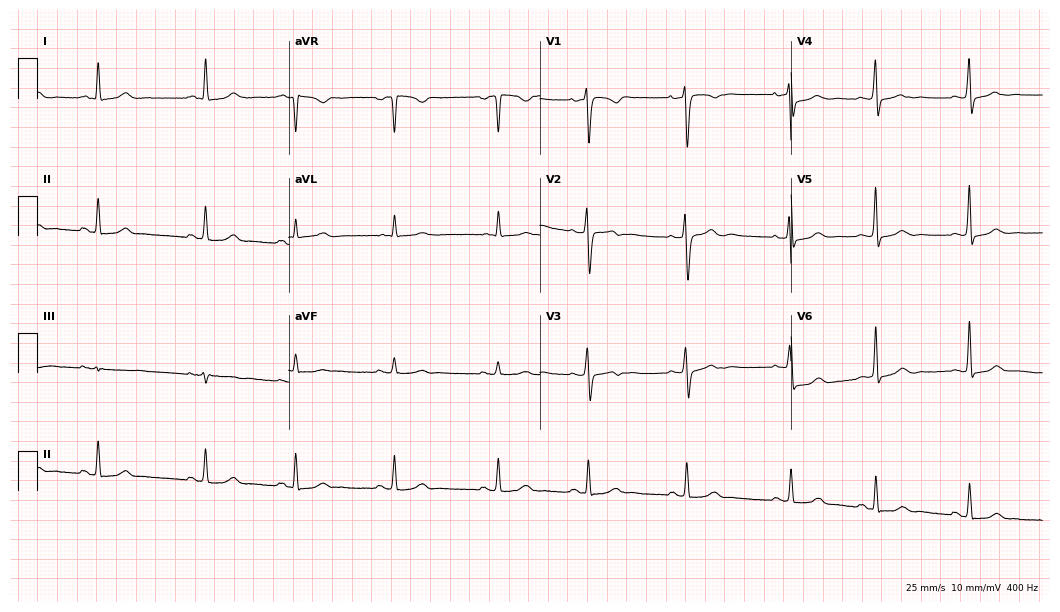
Standard 12-lead ECG recorded from a 38-year-old female. None of these six findings is recorded: first-degree AV block, right bundle branch block, left bundle branch block, sinus bradycardia, atrial fibrillation, sinus tachycardia.